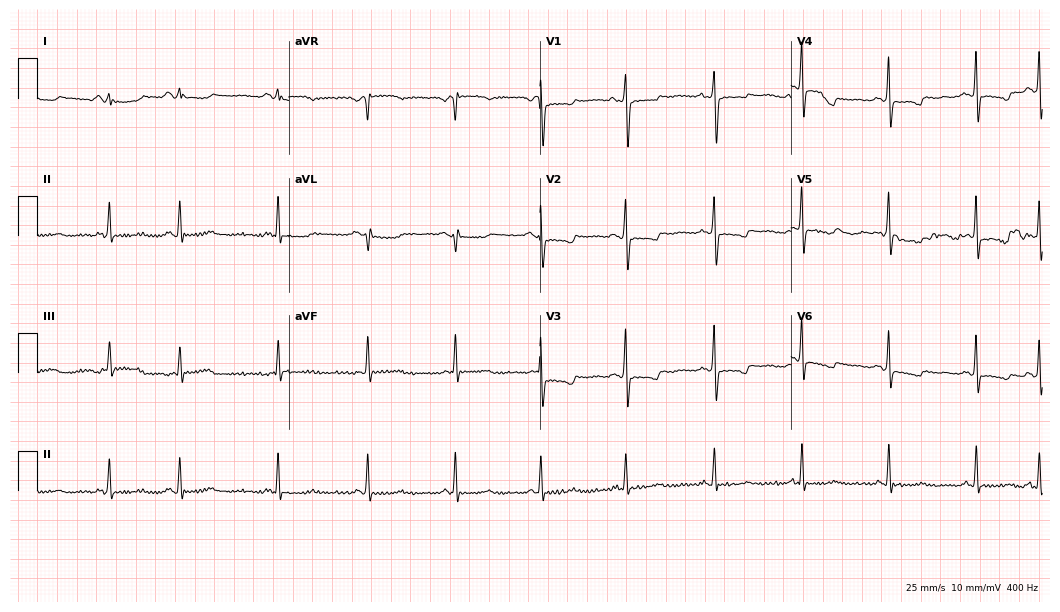
12-lead ECG from a woman, 73 years old (10.2-second recording at 400 Hz). Recorded interpretation: within normal limits.